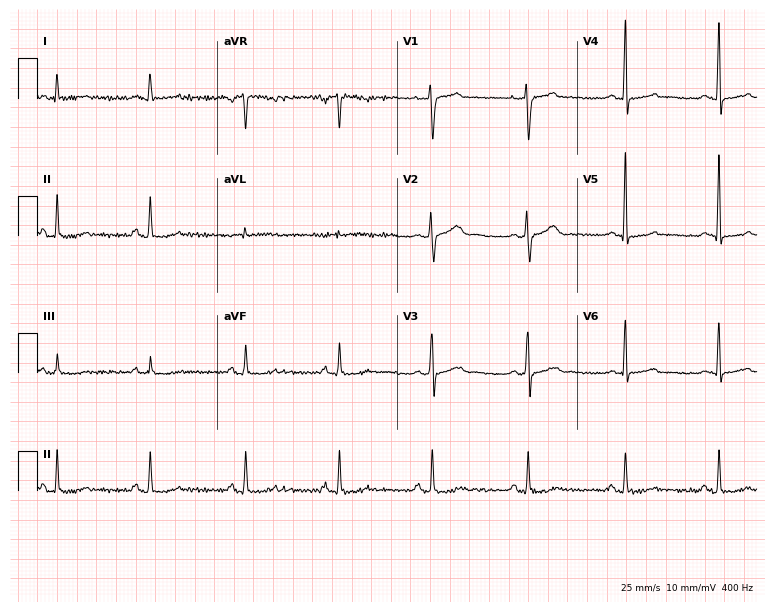
Resting 12-lead electrocardiogram. Patient: a 45-year-old man. Read as a normal ECG.